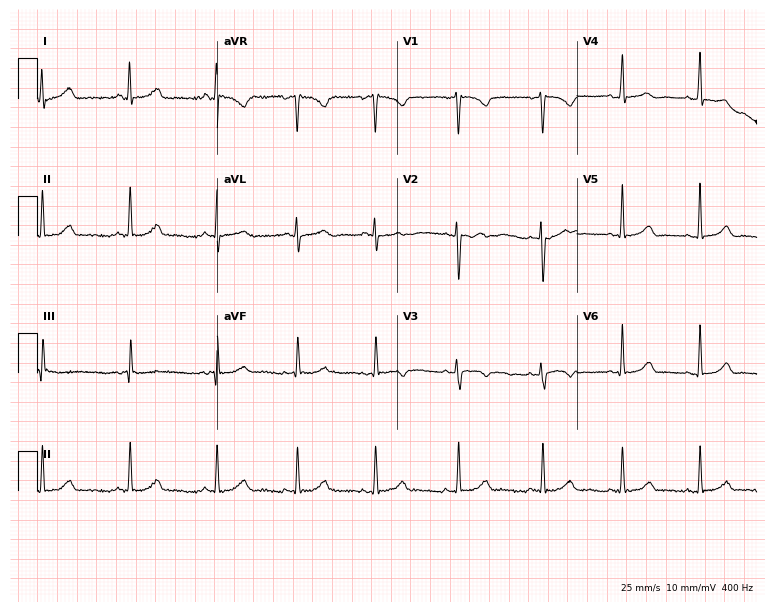
Resting 12-lead electrocardiogram. Patient: a woman, 20 years old. Read as a normal ECG.